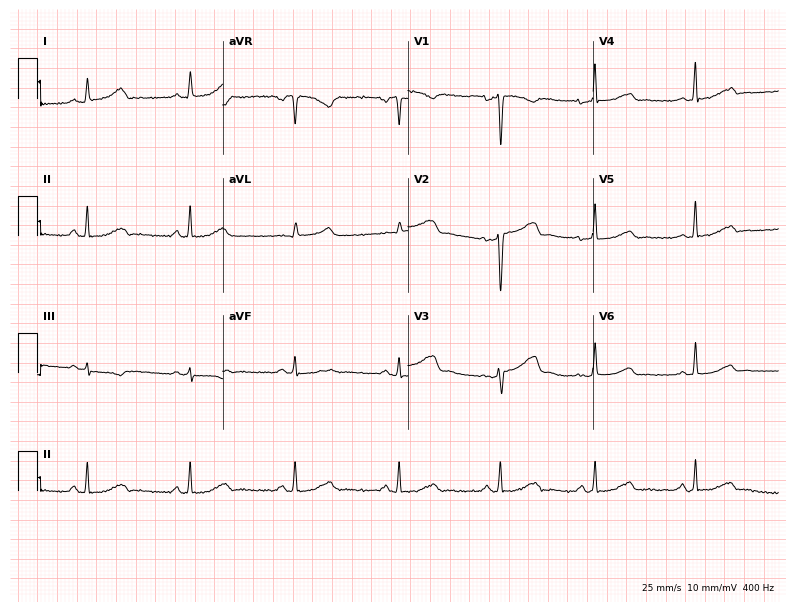
12-lead ECG from a 49-year-old female patient. Labelled as a normal ECG.